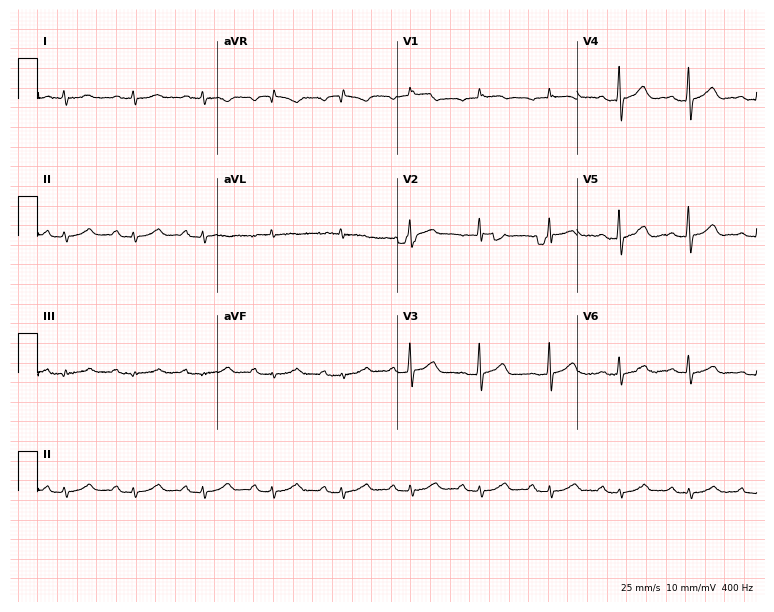
Standard 12-lead ECG recorded from a 79-year-old man (7.3-second recording at 400 Hz). Read as a normal ECG.